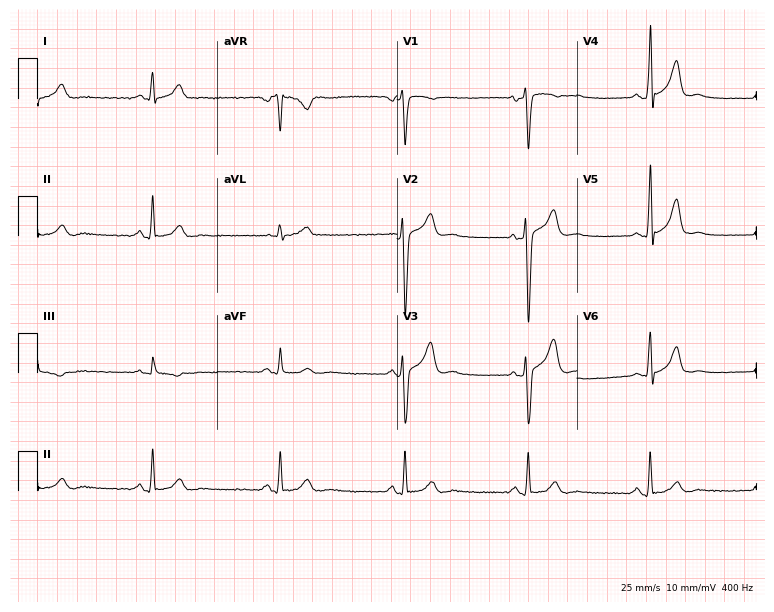
12-lead ECG from a man, 32 years old. No first-degree AV block, right bundle branch block, left bundle branch block, sinus bradycardia, atrial fibrillation or sinus tachycardia recorded for this tracing. Other findings, if any, are not listed.